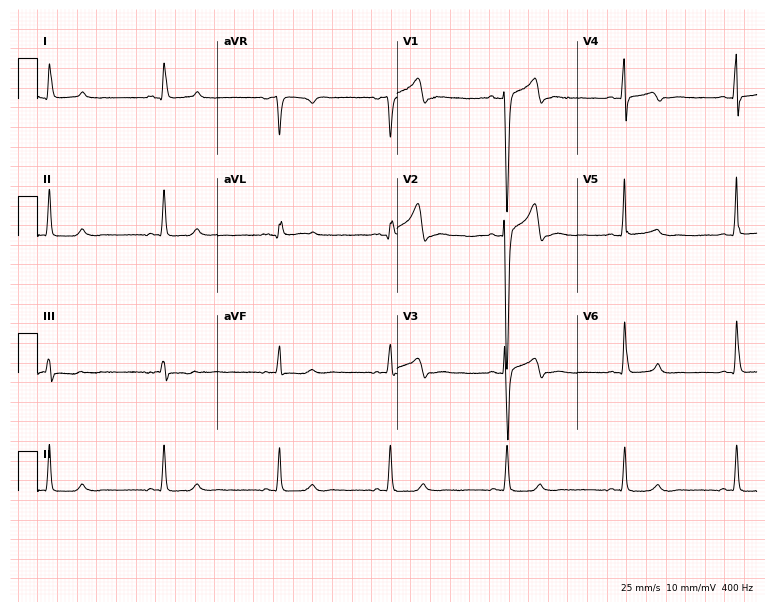
12-lead ECG from a 39-year-old man (7.3-second recording at 400 Hz). No first-degree AV block, right bundle branch block (RBBB), left bundle branch block (LBBB), sinus bradycardia, atrial fibrillation (AF) or sinus tachycardia recorded for this tracing.